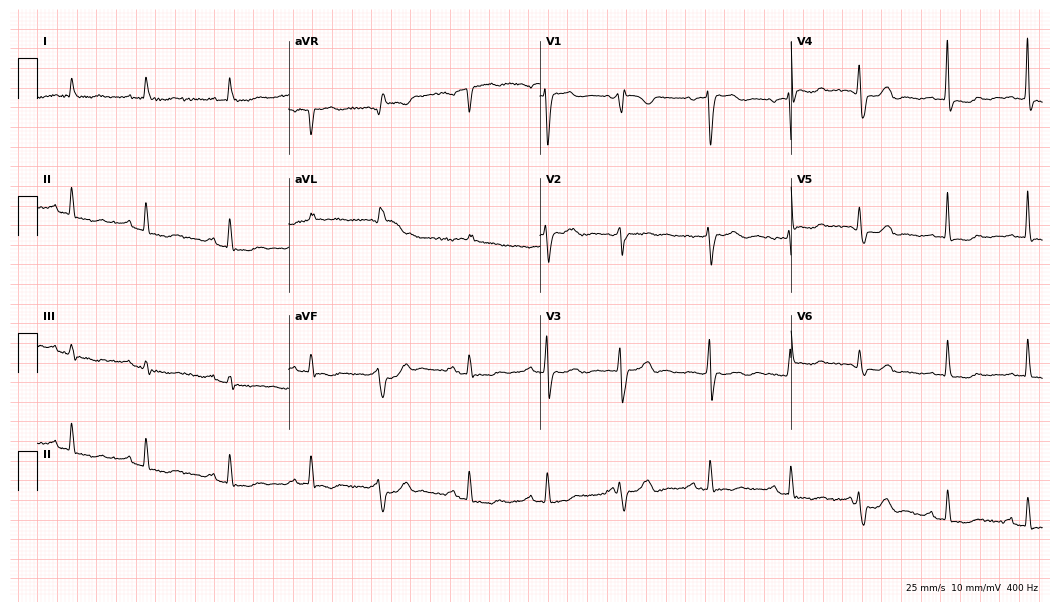
ECG — an 83-year-old female patient. Screened for six findings — first-degree AV block, right bundle branch block, left bundle branch block, sinus bradycardia, atrial fibrillation, sinus tachycardia — none is recorded.